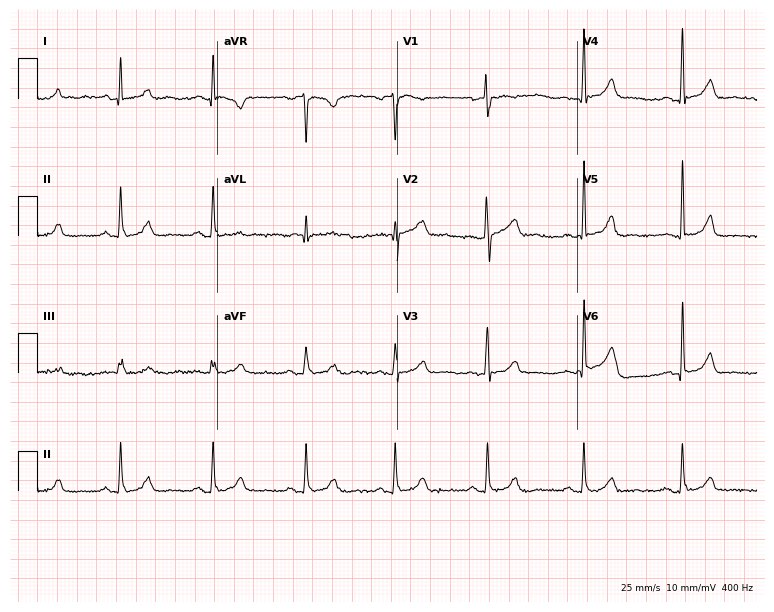
Electrocardiogram (7.3-second recording at 400 Hz), a female patient, 49 years old. Overall reading on record: normal ECG.